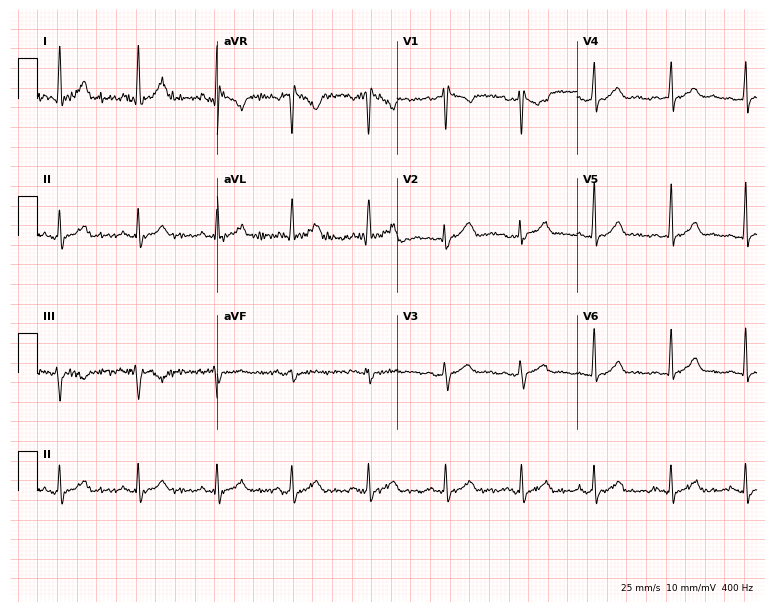
Resting 12-lead electrocardiogram. Patient: a female, 36 years old. Read as a normal ECG.